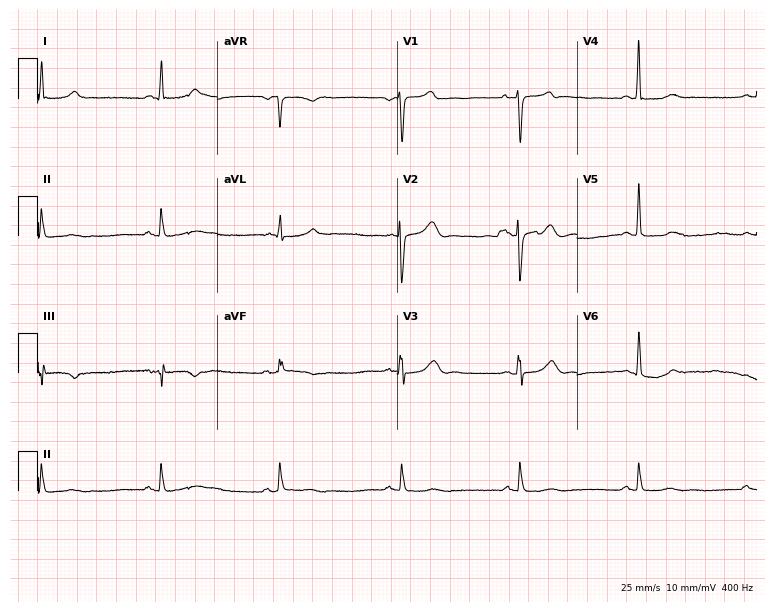
ECG — a man, 53 years old. Screened for six findings — first-degree AV block, right bundle branch block, left bundle branch block, sinus bradycardia, atrial fibrillation, sinus tachycardia — none is recorded. Other findings, if any, are not listed.